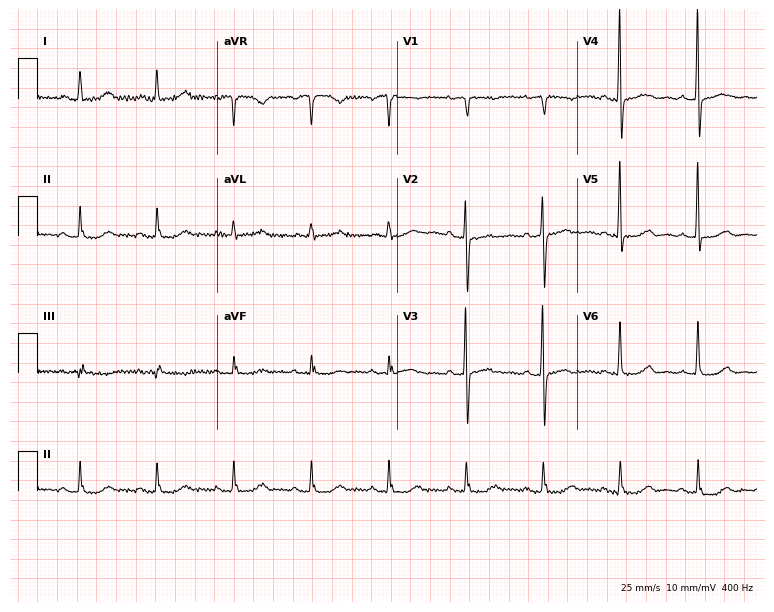
Resting 12-lead electrocardiogram (7.3-second recording at 400 Hz). Patient: a 60-year-old woman. Read as a normal ECG.